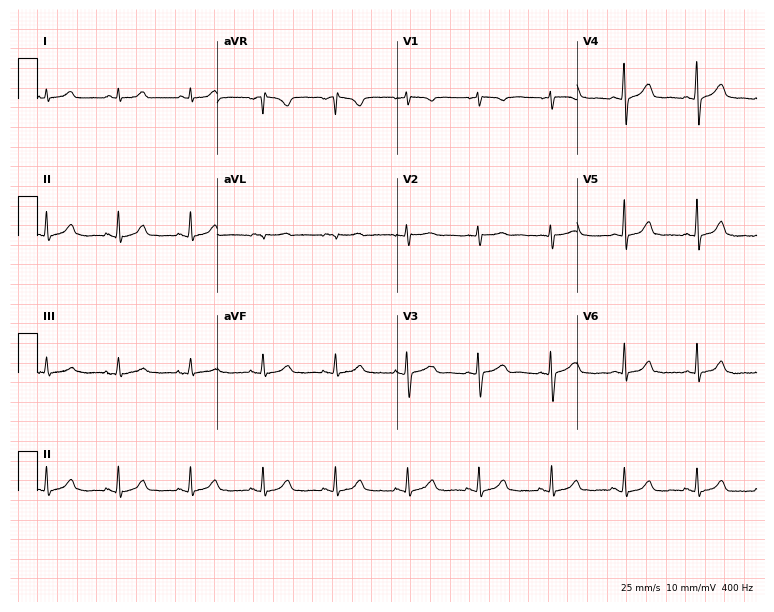
Electrocardiogram (7.3-second recording at 400 Hz), a 43-year-old female patient. Overall reading on record: normal ECG.